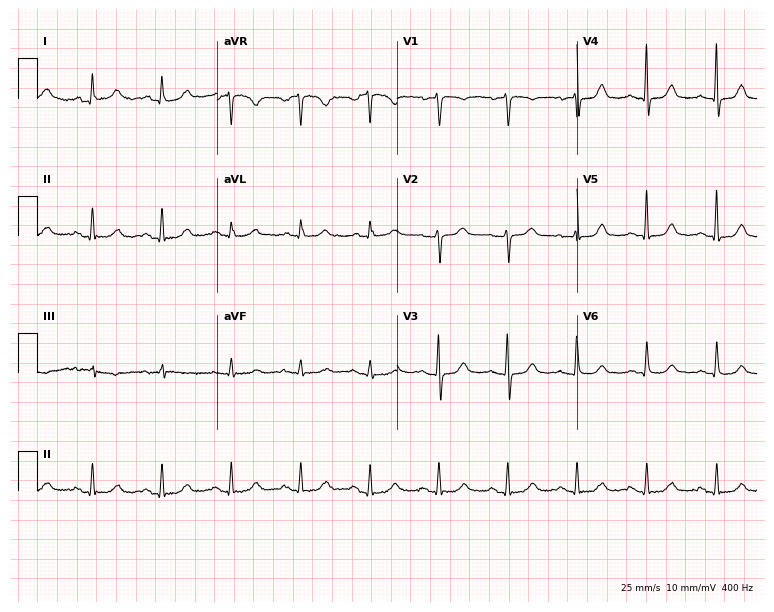
Resting 12-lead electrocardiogram (7.3-second recording at 400 Hz). Patient: a woman, 61 years old. Read as a normal ECG.